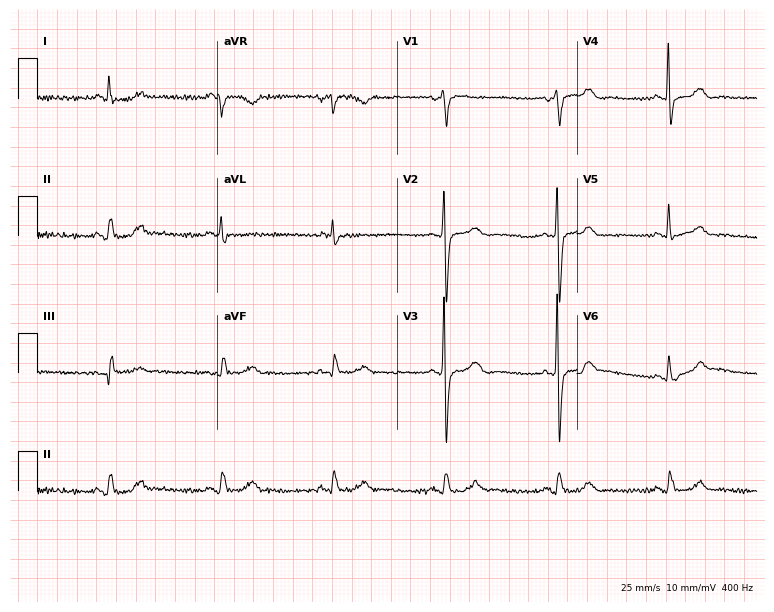
Standard 12-lead ECG recorded from a female patient, 69 years old (7.3-second recording at 400 Hz). None of these six findings is recorded: first-degree AV block, right bundle branch block (RBBB), left bundle branch block (LBBB), sinus bradycardia, atrial fibrillation (AF), sinus tachycardia.